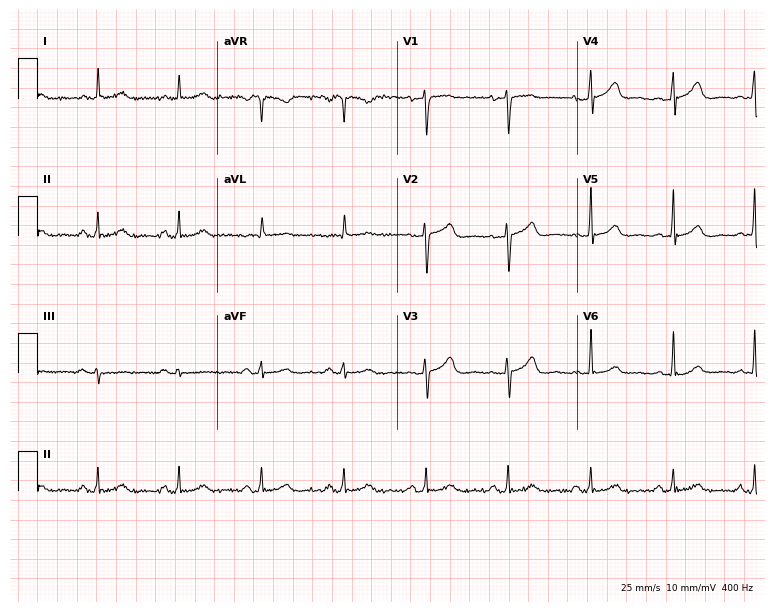
12-lead ECG from a 55-year-old female patient. Recorded interpretation: within normal limits.